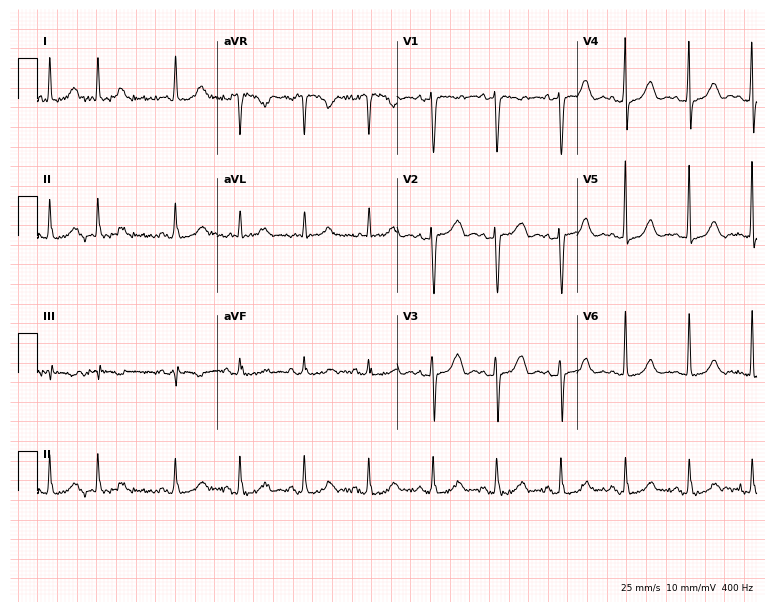
12-lead ECG from a female patient, 68 years old. No first-degree AV block, right bundle branch block (RBBB), left bundle branch block (LBBB), sinus bradycardia, atrial fibrillation (AF) or sinus tachycardia recorded for this tracing. Findings outside these six are not listed.